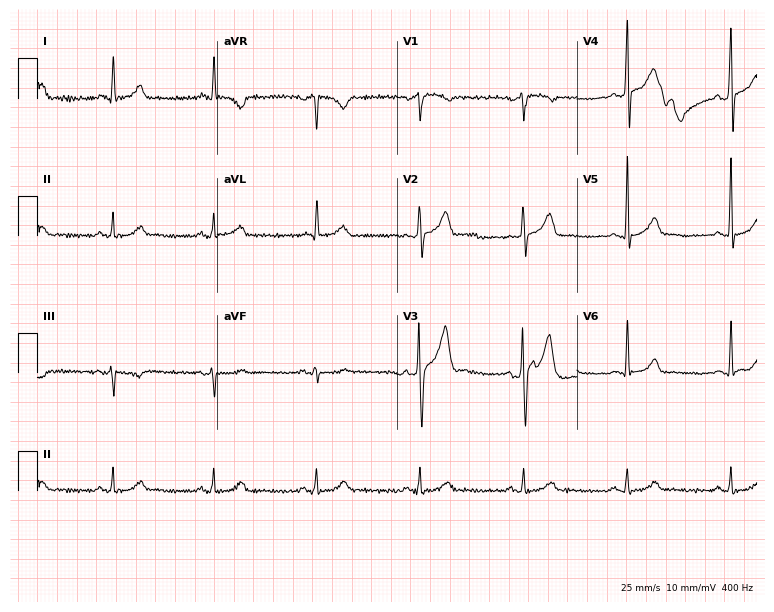
Resting 12-lead electrocardiogram. Patient: a 59-year-old male. Read as a normal ECG.